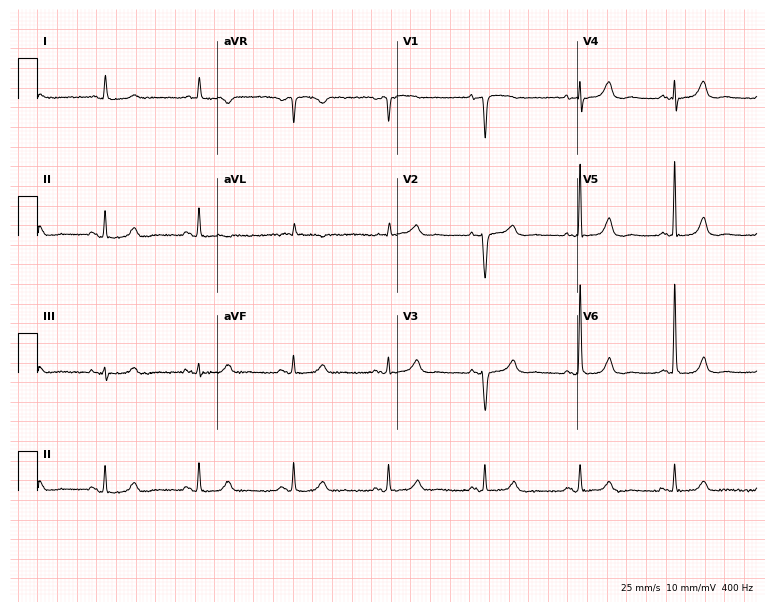
12-lead ECG from a woman, 77 years old (7.3-second recording at 400 Hz). No first-degree AV block, right bundle branch block, left bundle branch block, sinus bradycardia, atrial fibrillation or sinus tachycardia recorded for this tracing. Findings outside these six are not listed.